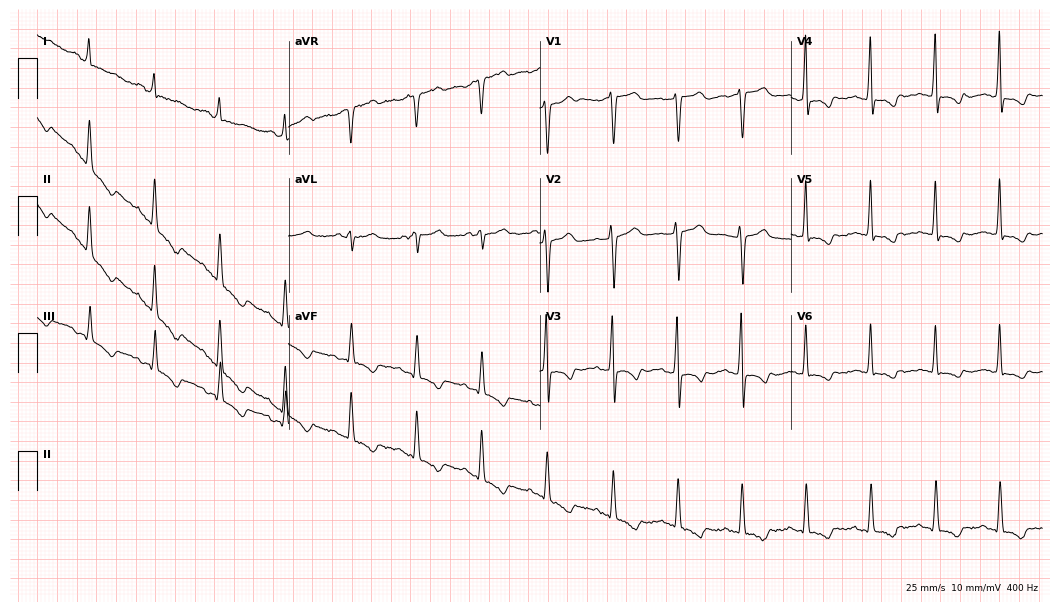
Resting 12-lead electrocardiogram (10.2-second recording at 400 Hz). Patient: a woman, 59 years old. None of these six findings is recorded: first-degree AV block, right bundle branch block, left bundle branch block, sinus bradycardia, atrial fibrillation, sinus tachycardia. Findings outside these six are not listed.